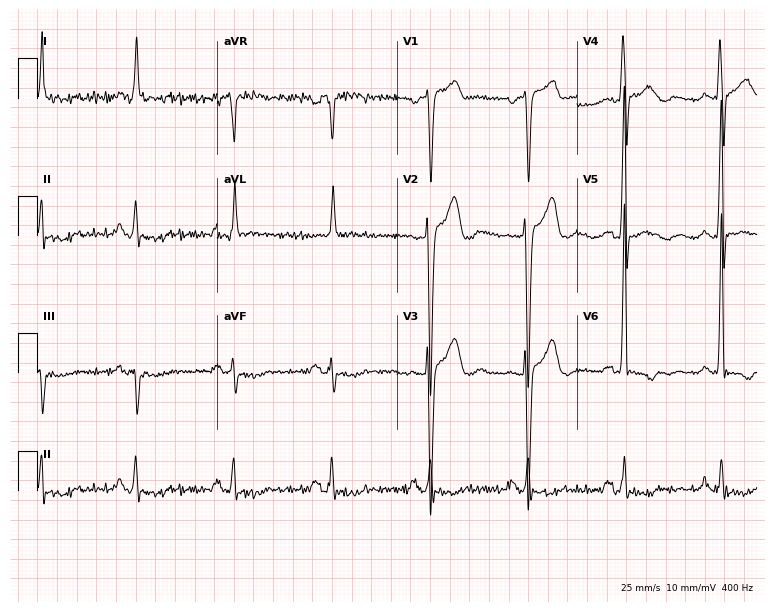
Resting 12-lead electrocardiogram. Patient: a male, 56 years old. None of these six findings is recorded: first-degree AV block, right bundle branch block, left bundle branch block, sinus bradycardia, atrial fibrillation, sinus tachycardia.